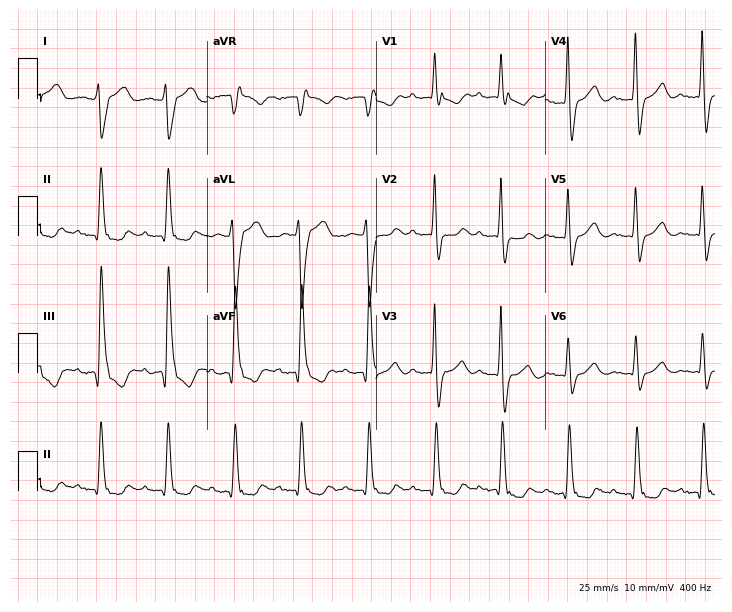
12-lead ECG from a male, 82 years old (6.9-second recording at 400 Hz). No first-degree AV block, right bundle branch block, left bundle branch block, sinus bradycardia, atrial fibrillation or sinus tachycardia recorded for this tracing.